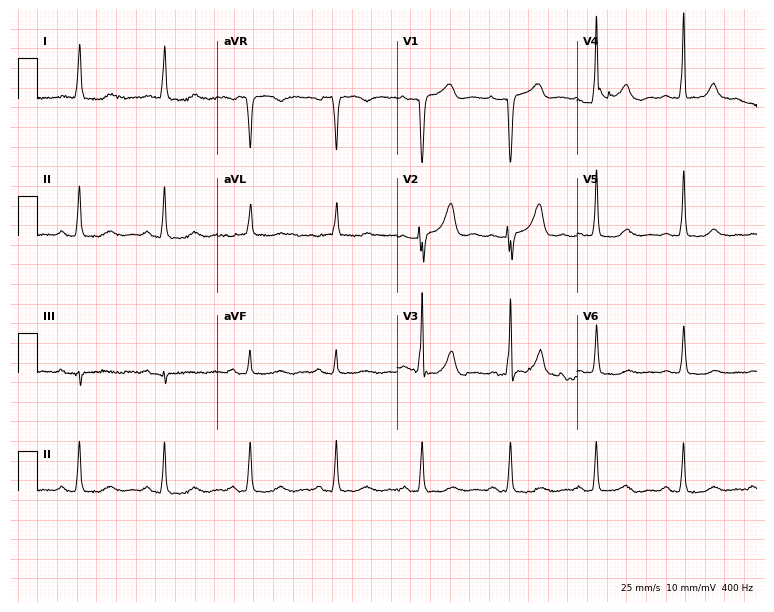
12-lead ECG from a female, 82 years old. Screened for six findings — first-degree AV block, right bundle branch block, left bundle branch block, sinus bradycardia, atrial fibrillation, sinus tachycardia — none is recorded.